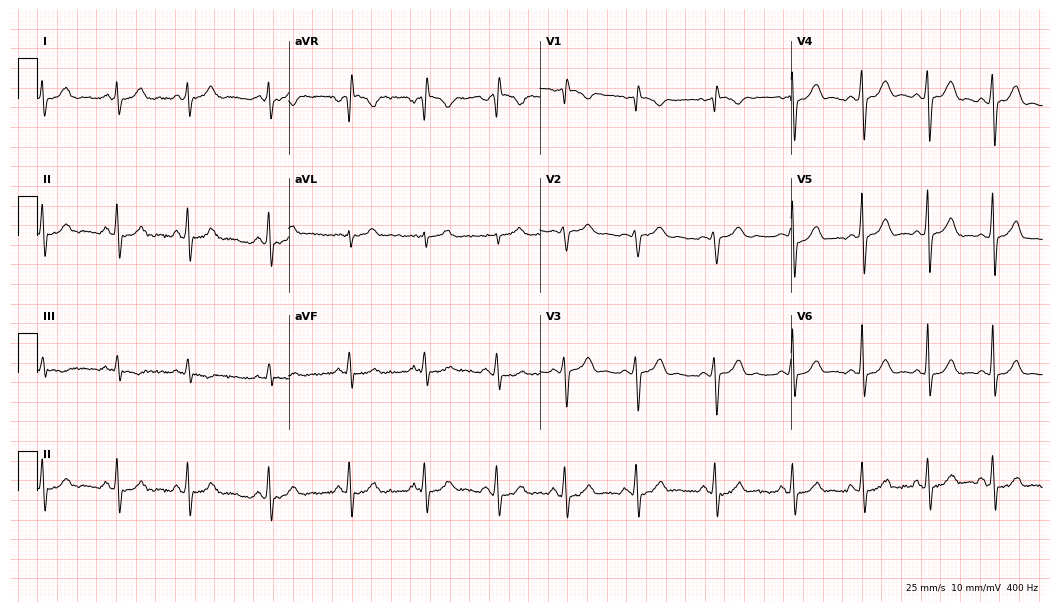
12-lead ECG from a man, 21 years old. Screened for six findings — first-degree AV block, right bundle branch block, left bundle branch block, sinus bradycardia, atrial fibrillation, sinus tachycardia — none is recorded. Other findings, if any, are not listed.